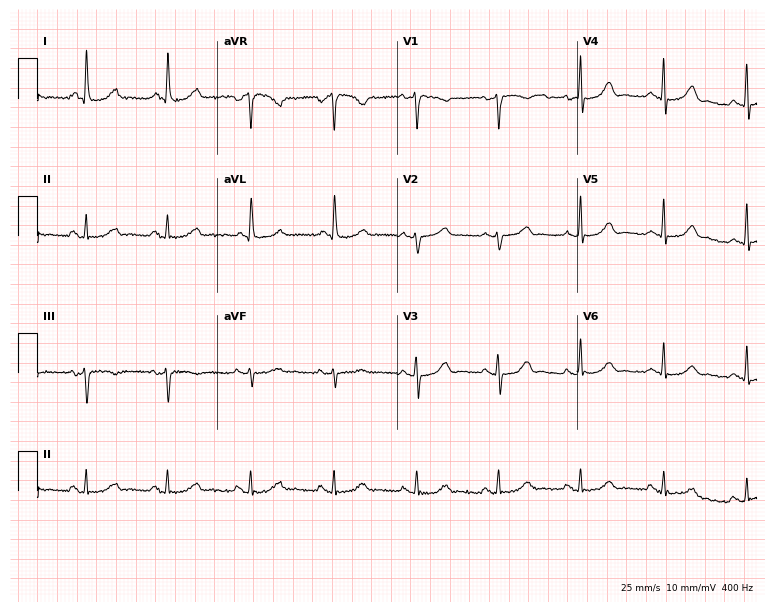
Standard 12-lead ECG recorded from a 67-year-old female (7.3-second recording at 400 Hz). Read as a normal ECG.